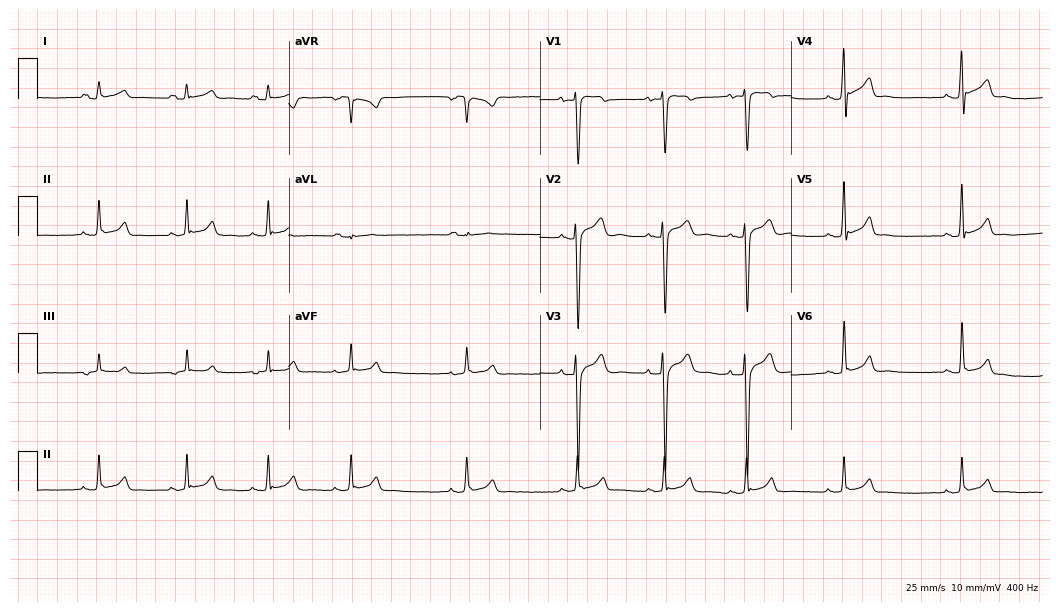
12-lead ECG (10.2-second recording at 400 Hz) from a 19-year-old male patient. Labelled as a normal ECG.